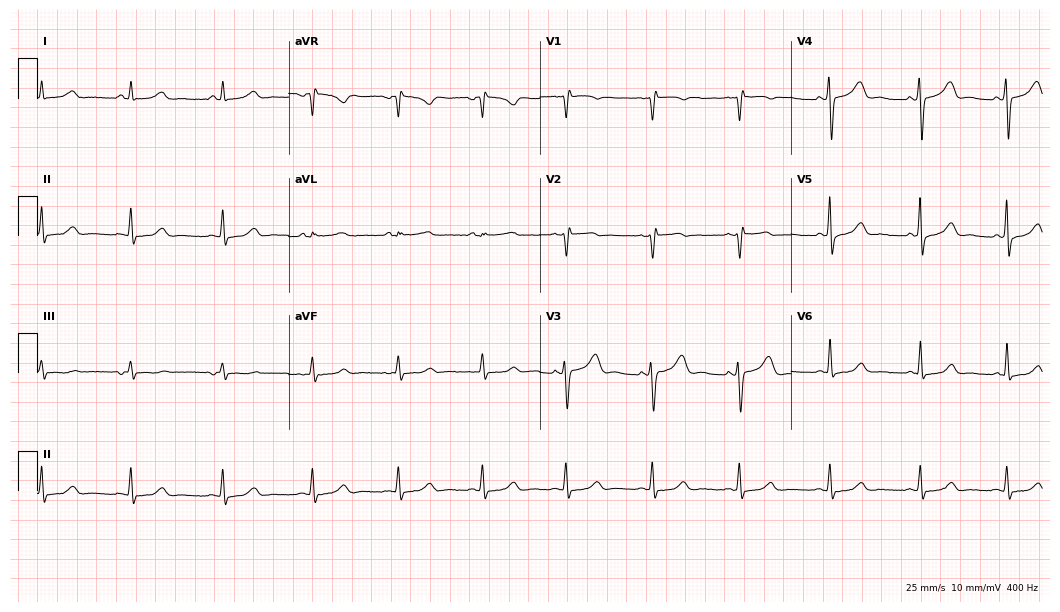
12-lead ECG (10.2-second recording at 400 Hz) from a woman, 28 years old. Labelled as a normal ECG.